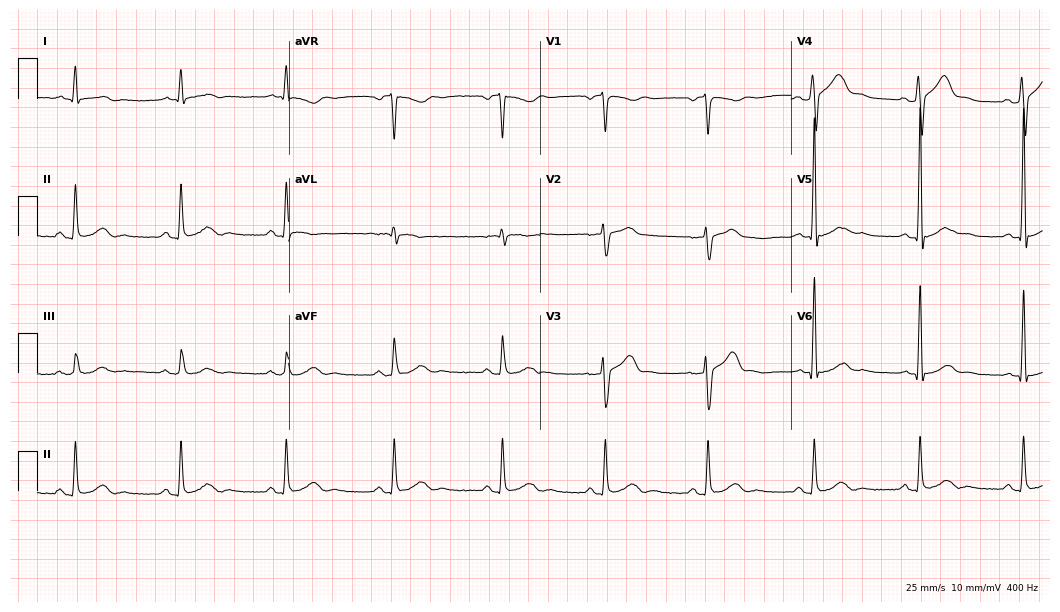
12-lead ECG (10.2-second recording at 400 Hz) from a 24-year-old male. Screened for six findings — first-degree AV block, right bundle branch block, left bundle branch block, sinus bradycardia, atrial fibrillation, sinus tachycardia — none is recorded. Findings outside these six are not listed.